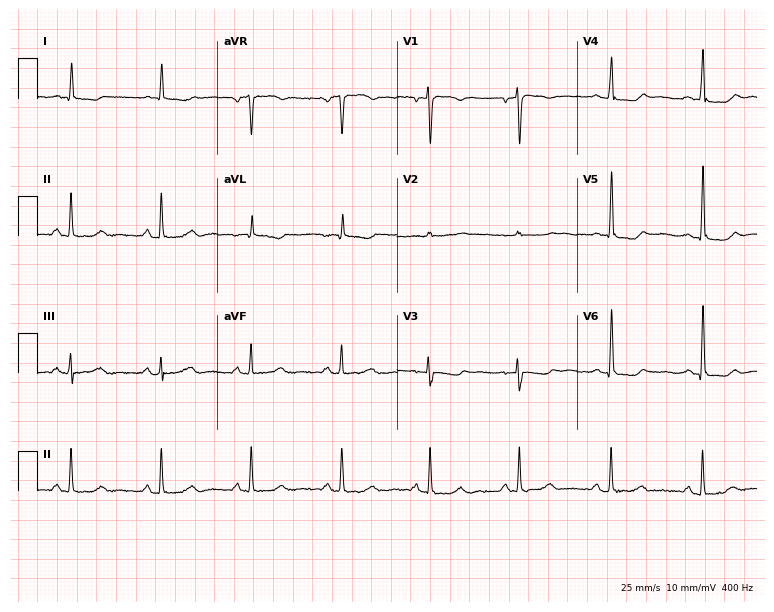
Standard 12-lead ECG recorded from a 49-year-old female (7.3-second recording at 400 Hz). None of these six findings is recorded: first-degree AV block, right bundle branch block, left bundle branch block, sinus bradycardia, atrial fibrillation, sinus tachycardia. Findings outside these six are not listed.